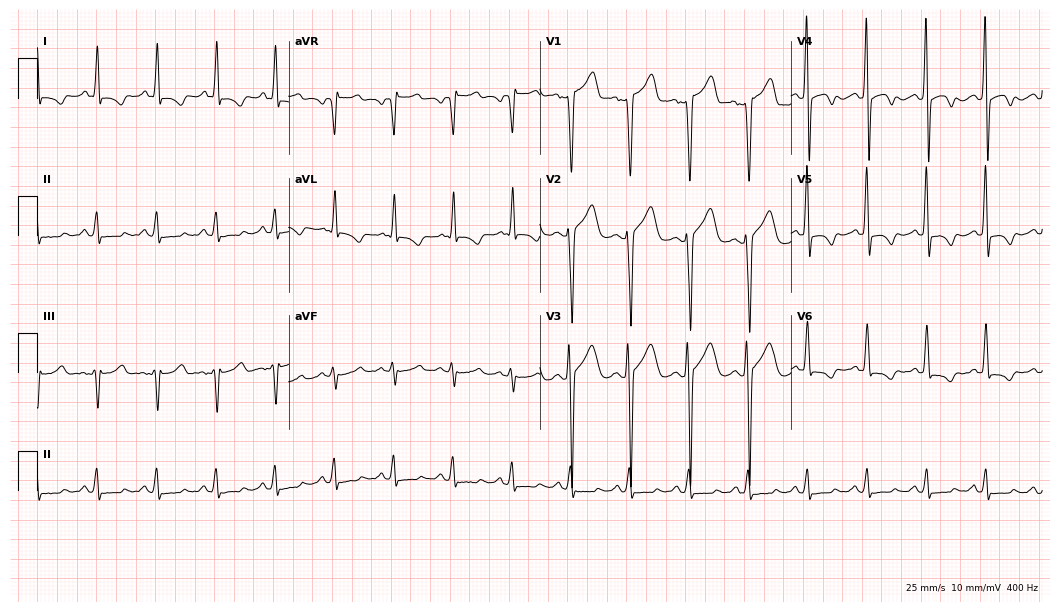
12-lead ECG (10.2-second recording at 400 Hz) from a 34-year-old male. Screened for six findings — first-degree AV block, right bundle branch block, left bundle branch block, sinus bradycardia, atrial fibrillation, sinus tachycardia — none is recorded.